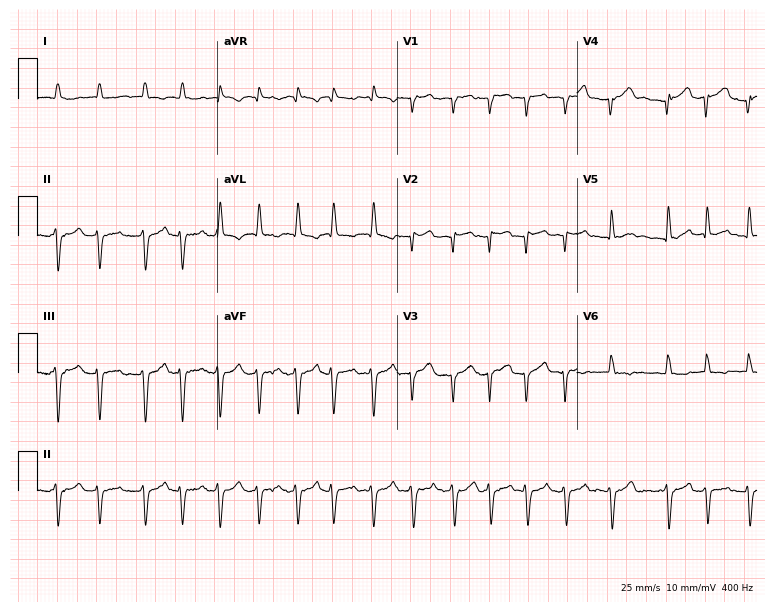
Standard 12-lead ECG recorded from a male, 74 years old (7.3-second recording at 400 Hz). The tracing shows atrial fibrillation (AF).